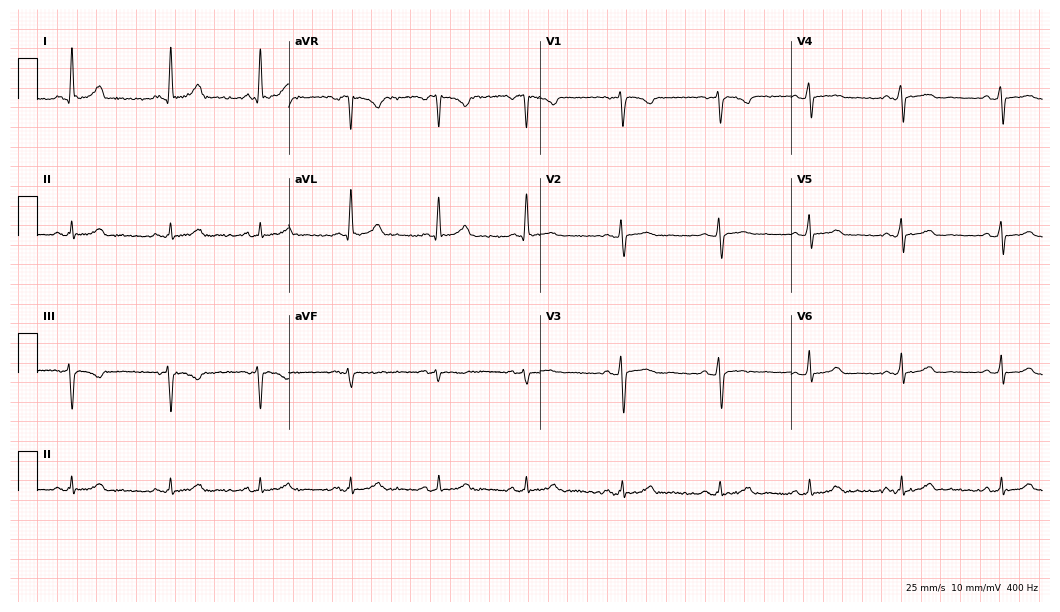
Standard 12-lead ECG recorded from a female, 52 years old. Read as a normal ECG.